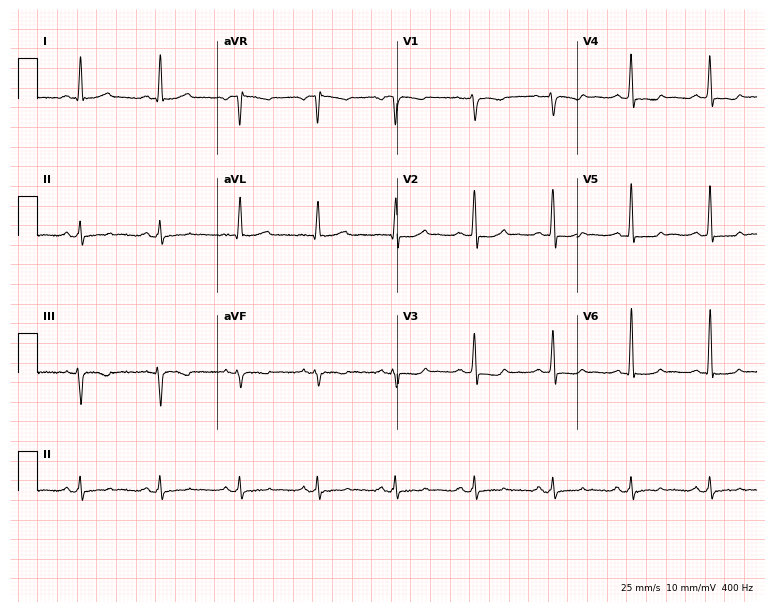
Resting 12-lead electrocardiogram (7.3-second recording at 400 Hz). Patient: a woman, 72 years old. Read as a normal ECG.